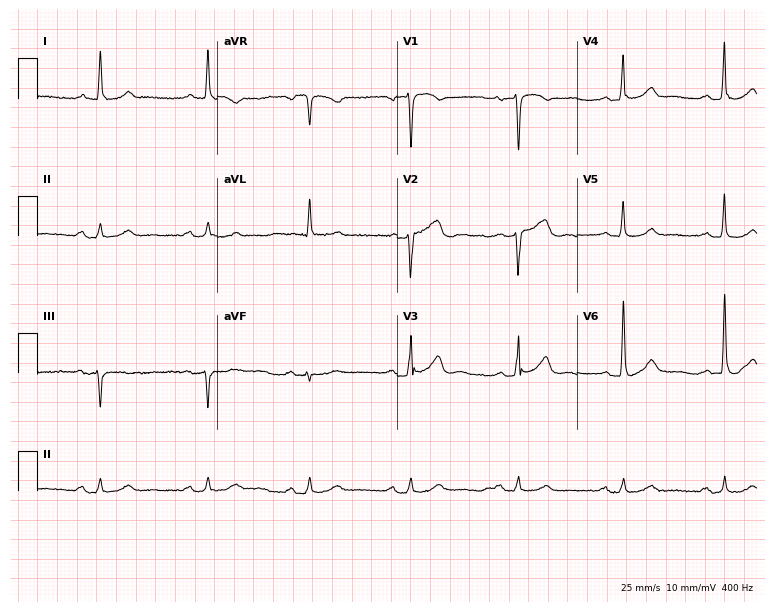
Resting 12-lead electrocardiogram. Patient: a female, 72 years old. None of these six findings is recorded: first-degree AV block, right bundle branch block (RBBB), left bundle branch block (LBBB), sinus bradycardia, atrial fibrillation (AF), sinus tachycardia.